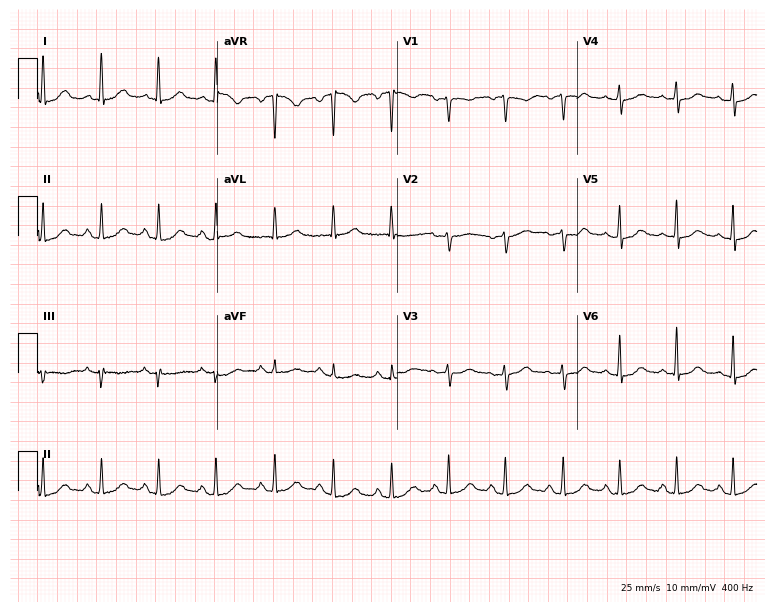
Standard 12-lead ECG recorded from a female, 49 years old. None of these six findings is recorded: first-degree AV block, right bundle branch block (RBBB), left bundle branch block (LBBB), sinus bradycardia, atrial fibrillation (AF), sinus tachycardia. Findings outside these six are not listed.